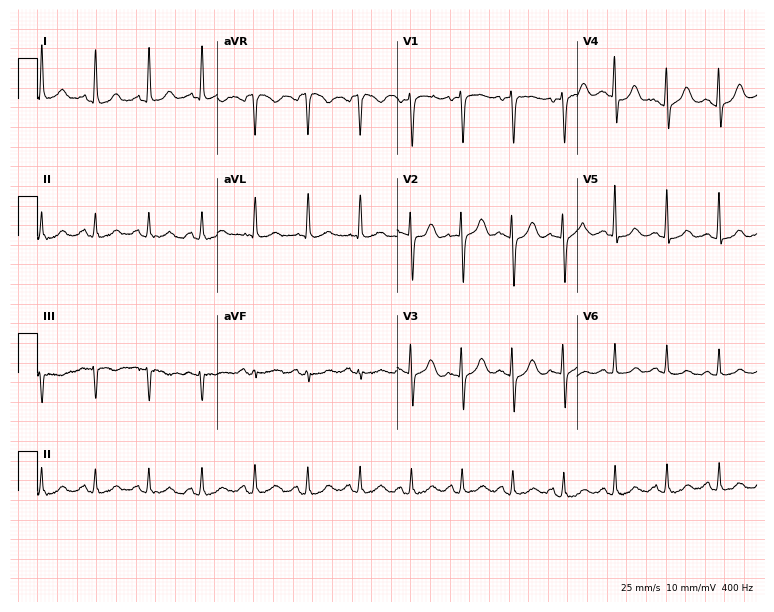
Electrocardiogram, a 61-year-old male. Of the six screened findings (first-degree AV block, right bundle branch block, left bundle branch block, sinus bradycardia, atrial fibrillation, sinus tachycardia), none is recorded.